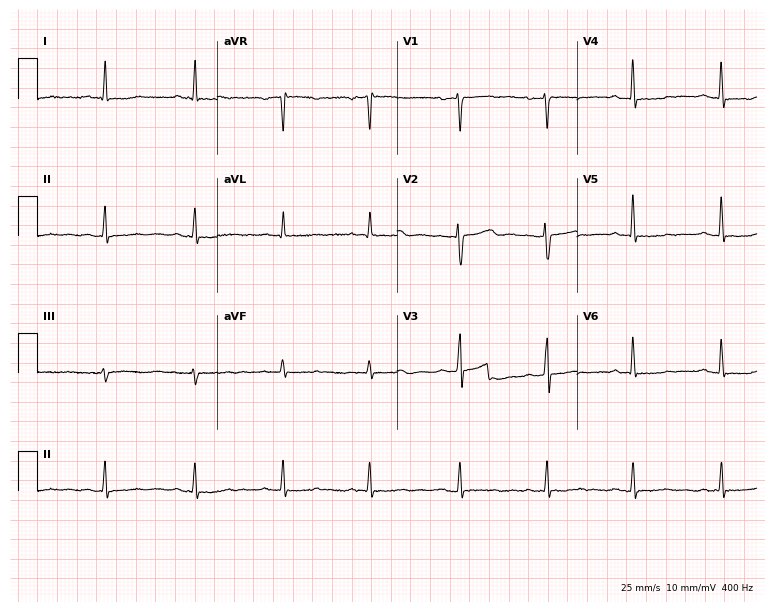
12-lead ECG from a 44-year-old female. Screened for six findings — first-degree AV block, right bundle branch block, left bundle branch block, sinus bradycardia, atrial fibrillation, sinus tachycardia — none is recorded. Findings outside these six are not listed.